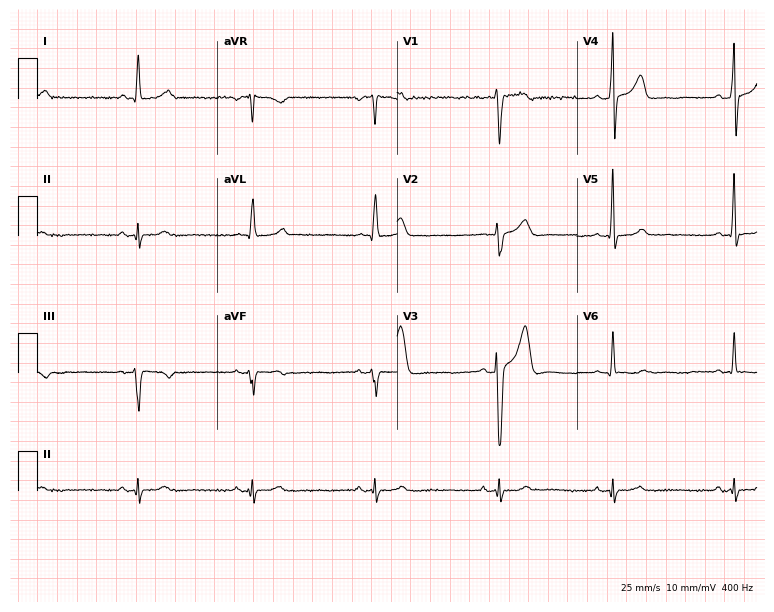
Electrocardiogram (7.3-second recording at 400 Hz), a 41-year-old male patient. Interpretation includes sinus bradycardia (a sinus rate of 50 beats per minute or less).